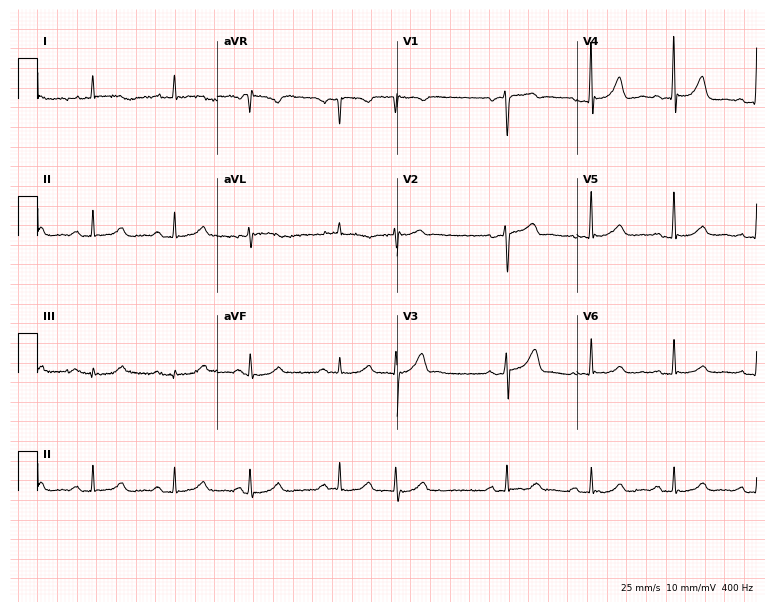
12-lead ECG from a man, 64 years old. No first-degree AV block, right bundle branch block (RBBB), left bundle branch block (LBBB), sinus bradycardia, atrial fibrillation (AF) or sinus tachycardia recorded for this tracing. Only these six findings were labelled.